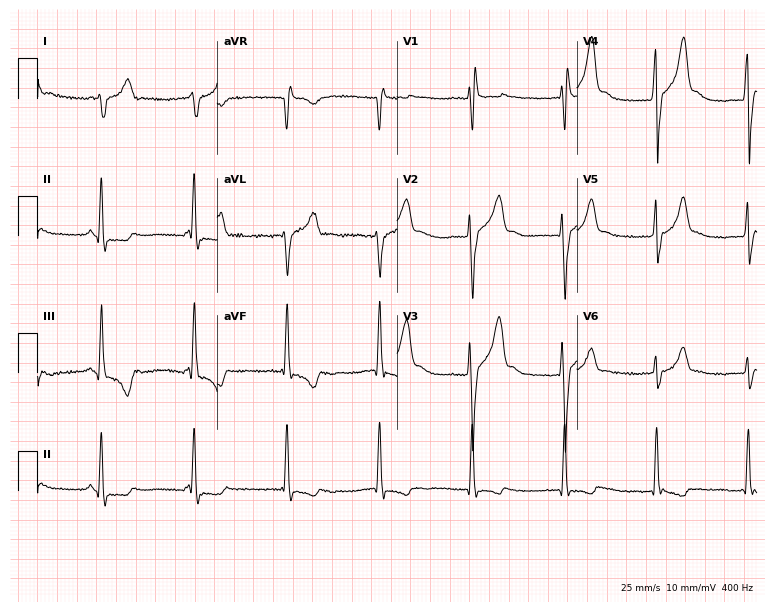
Electrocardiogram, a 20-year-old male patient. Interpretation includes right bundle branch block.